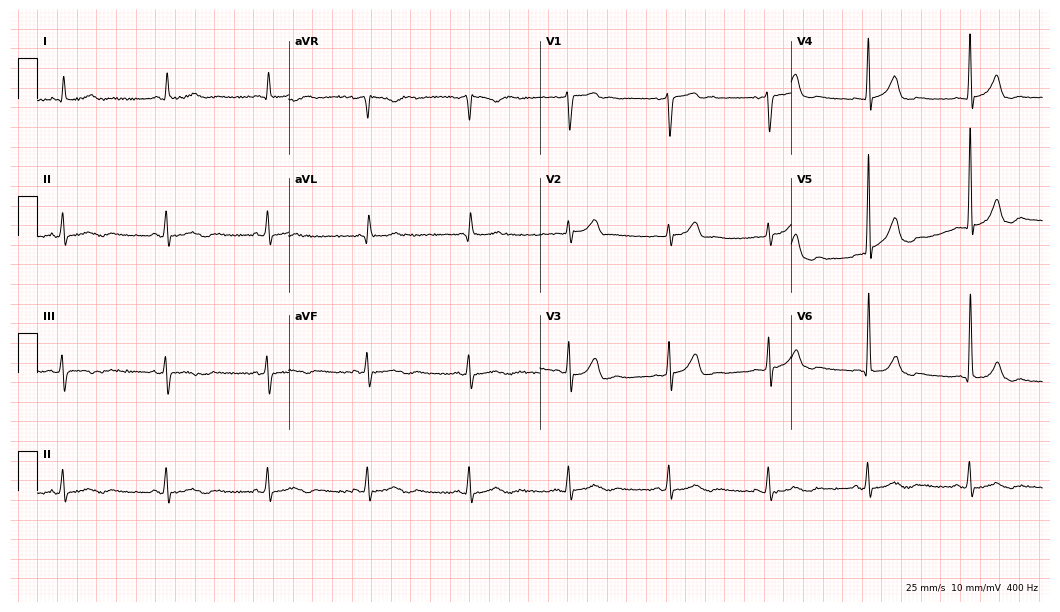
Standard 12-lead ECG recorded from a 70-year-old man (10.2-second recording at 400 Hz). Read as a normal ECG.